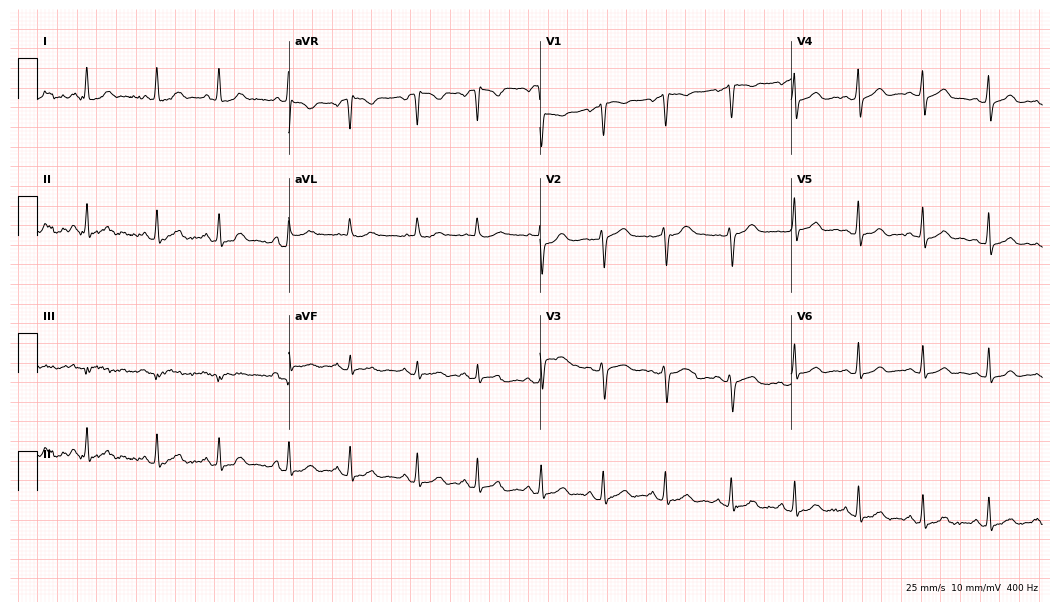
12-lead ECG from a woman, 36 years old (10.2-second recording at 400 Hz). No first-degree AV block, right bundle branch block, left bundle branch block, sinus bradycardia, atrial fibrillation or sinus tachycardia recorded for this tracing.